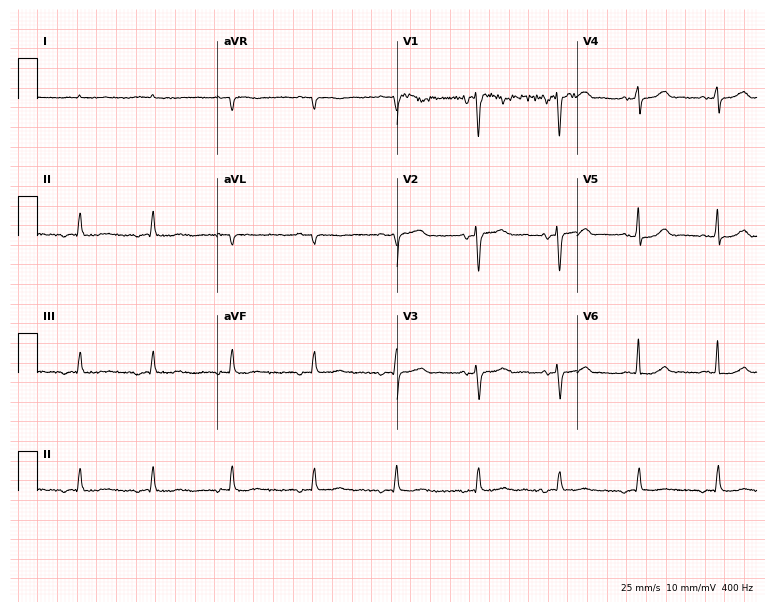
Electrocardiogram, a female patient, 67 years old. Of the six screened findings (first-degree AV block, right bundle branch block, left bundle branch block, sinus bradycardia, atrial fibrillation, sinus tachycardia), none is recorded. Findings outside these six are not listed.